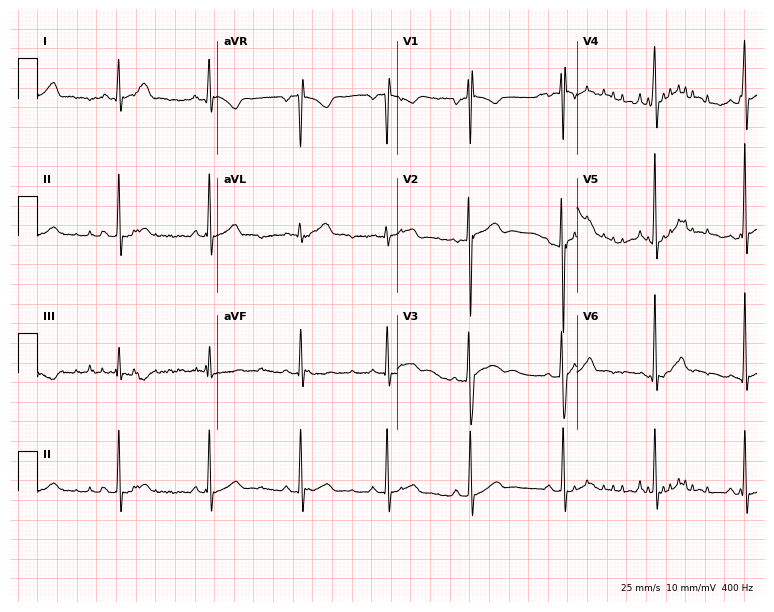
12-lead ECG (7.3-second recording at 400 Hz) from a male, 25 years old. Labelled as a normal ECG.